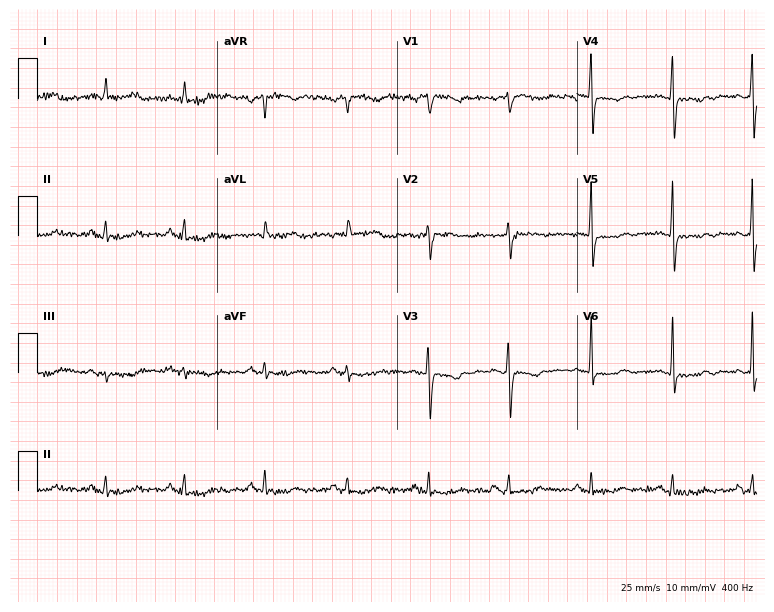
ECG — a 69-year-old female patient. Screened for six findings — first-degree AV block, right bundle branch block, left bundle branch block, sinus bradycardia, atrial fibrillation, sinus tachycardia — none is recorded. Findings outside these six are not listed.